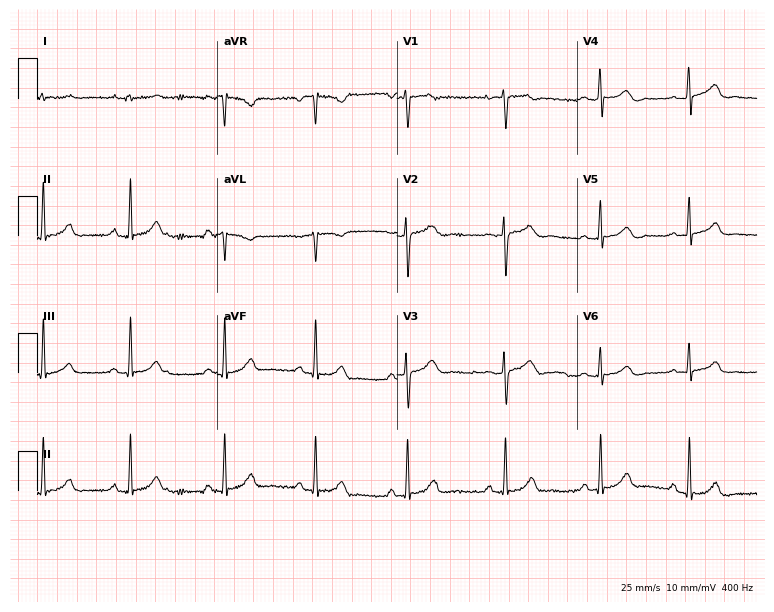
ECG — a 24-year-old woman. Screened for six findings — first-degree AV block, right bundle branch block, left bundle branch block, sinus bradycardia, atrial fibrillation, sinus tachycardia — none is recorded. Only these six findings were labelled.